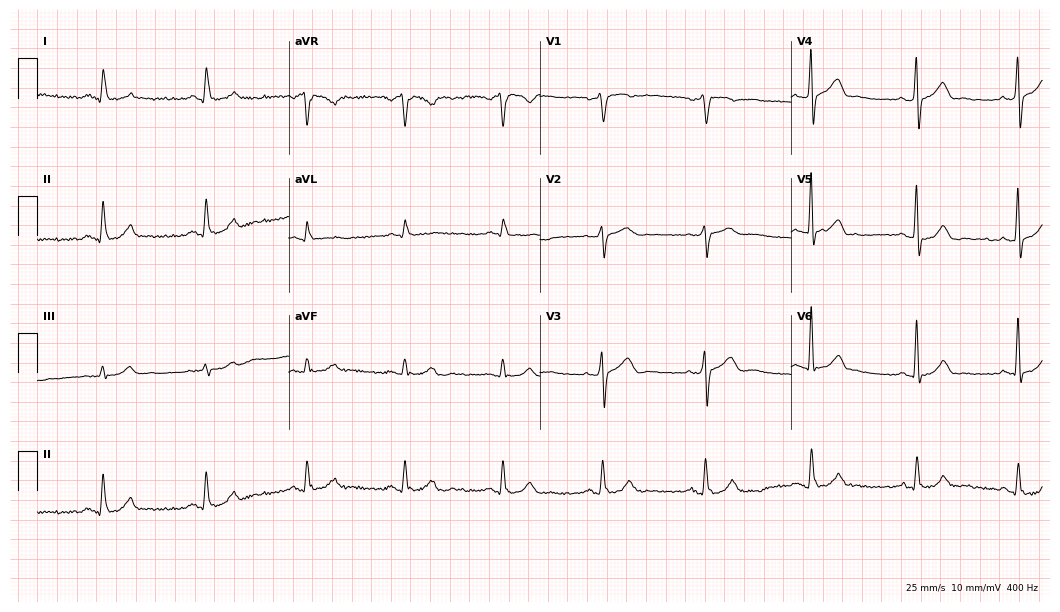
Standard 12-lead ECG recorded from a male patient, 58 years old (10.2-second recording at 400 Hz). None of these six findings is recorded: first-degree AV block, right bundle branch block (RBBB), left bundle branch block (LBBB), sinus bradycardia, atrial fibrillation (AF), sinus tachycardia.